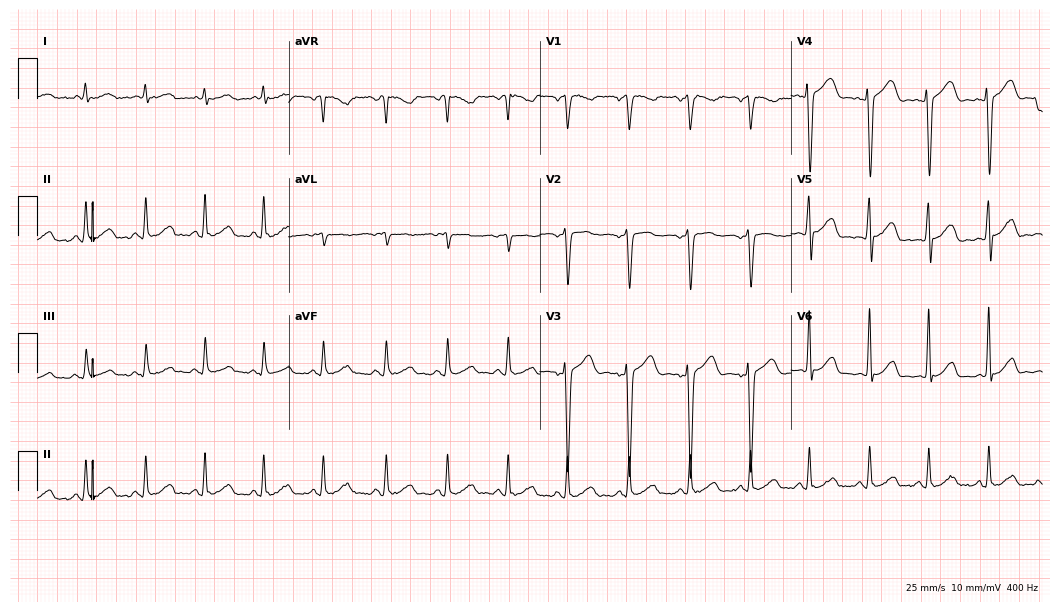
12-lead ECG from a 34-year-old male. Screened for six findings — first-degree AV block, right bundle branch block (RBBB), left bundle branch block (LBBB), sinus bradycardia, atrial fibrillation (AF), sinus tachycardia — none is recorded. Other findings, if any, are not listed.